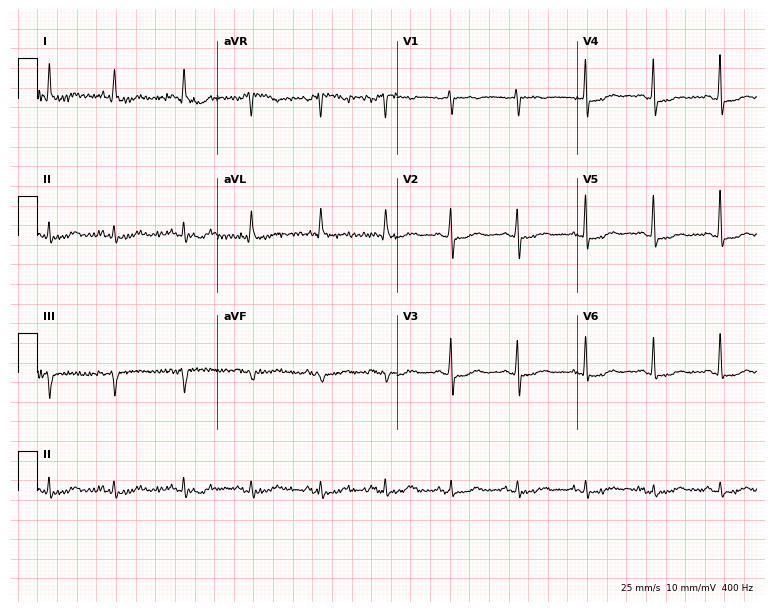
ECG — a 78-year-old woman. Screened for six findings — first-degree AV block, right bundle branch block, left bundle branch block, sinus bradycardia, atrial fibrillation, sinus tachycardia — none is recorded. Other findings, if any, are not listed.